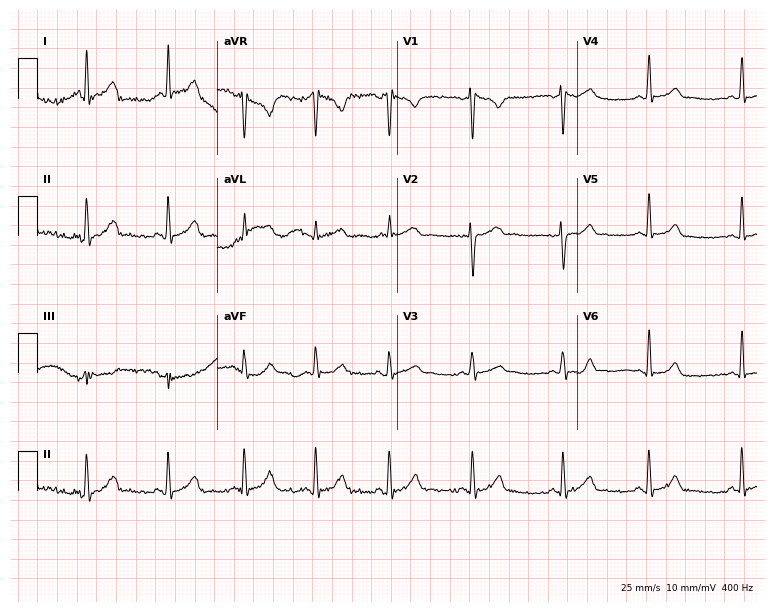
Electrocardiogram (7.3-second recording at 400 Hz), a male patient, 20 years old. Overall reading on record: normal ECG.